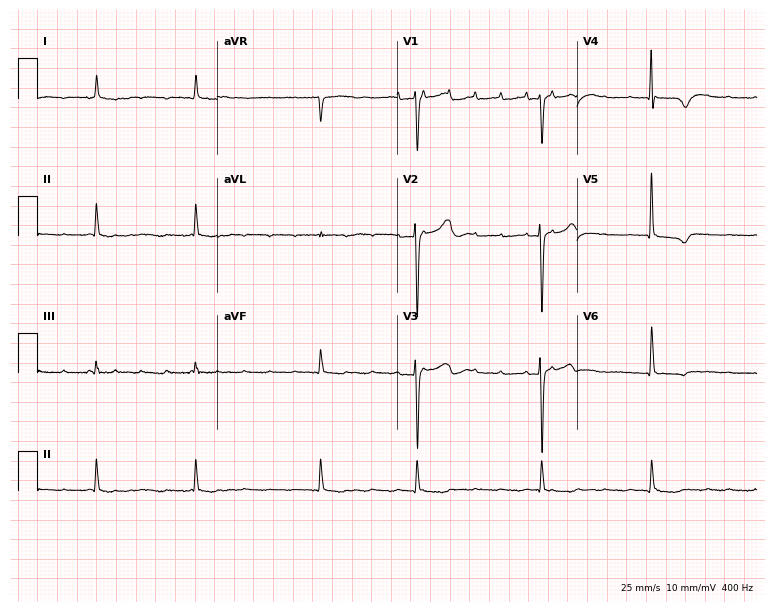
Standard 12-lead ECG recorded from an 84-year-old female. The tracing shows atrial fibrillation.